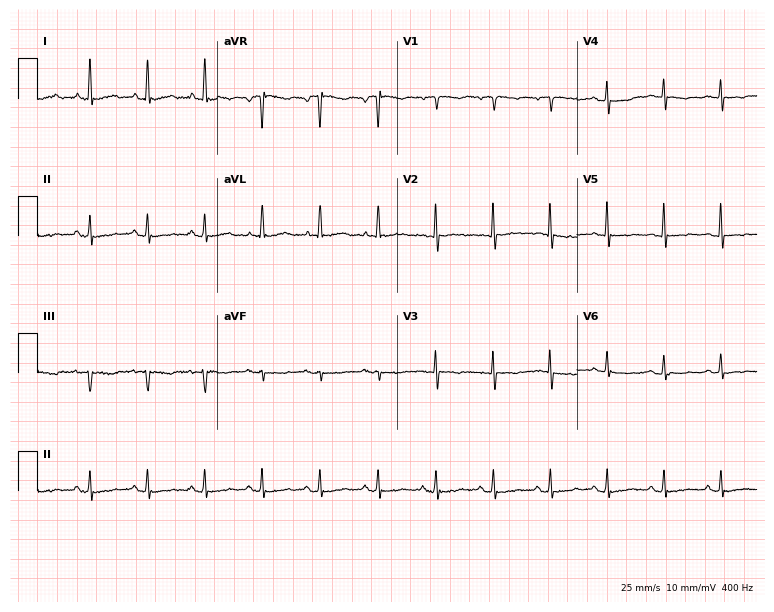
Electrocardiogram (7.3-second recording at 400 Hz), a woman, 85 years old. Interpretation includes sinus tachycardia (a sinus rate of 100 beats per minute or more).